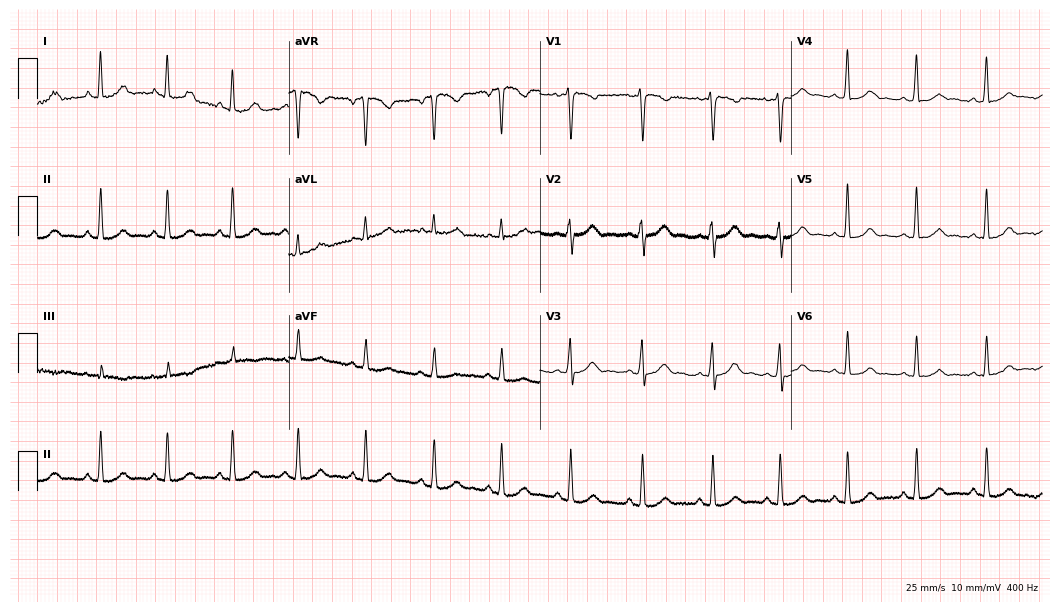
Resting 12-lead electrocardiogram. Patient: a 20-year-old female. Read as a normal ECG.